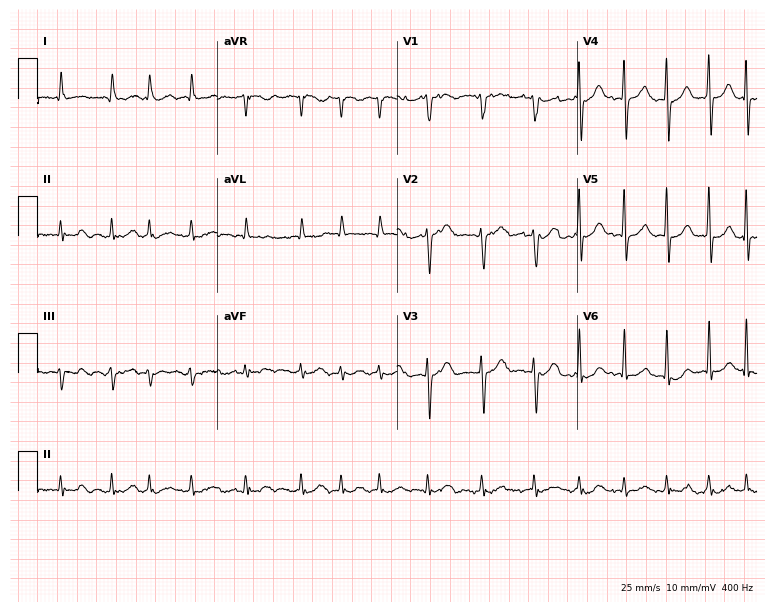
Resting 12-lead electrocardiogram (7.3-second recording at 400 Hz). Patient: a 71-year-old male. The tracing shows atrial fibrillation.